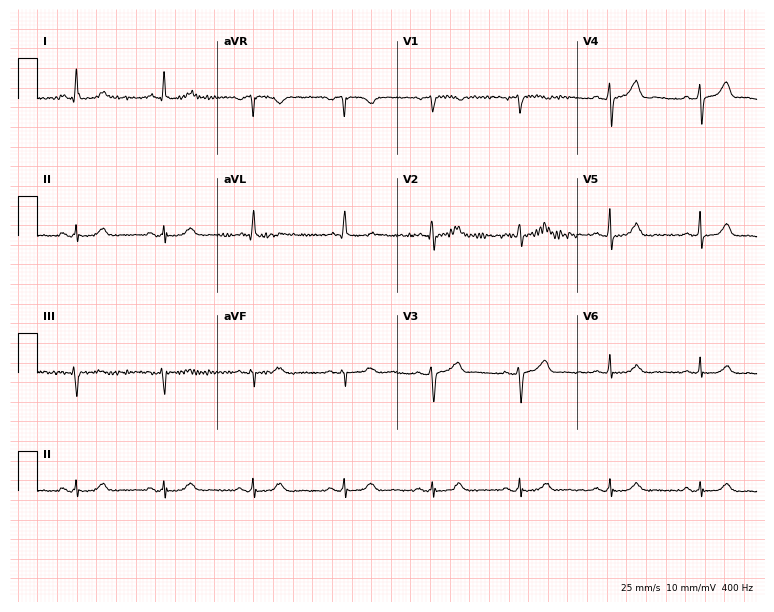
ECG (7.3-second recording at 400 Hz) — a 72-year-old female patient. Labelled as a normal ECG.